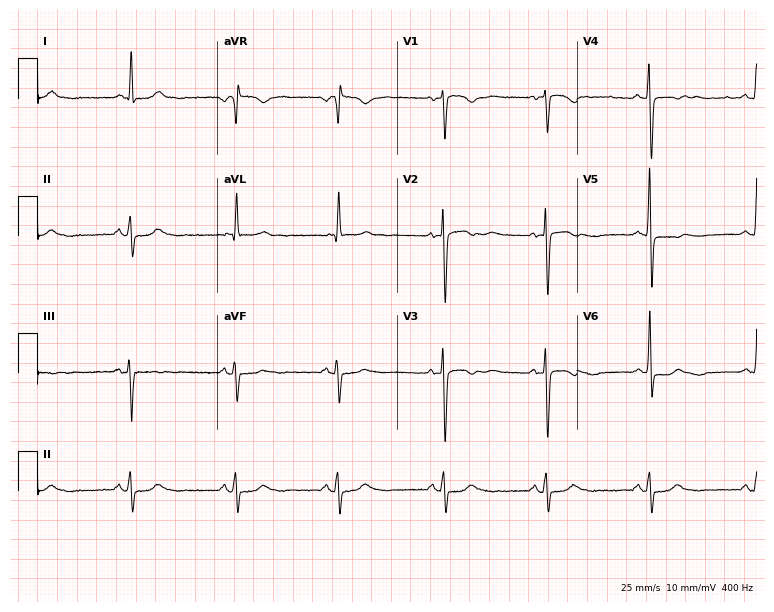
Electrocardiogram (7.3-second recording at 400 Hz), a 63-year-old female. Of the six screened findings (first-degree AV block, right bundle branch block, left bundle branch block, sinus bradycardia, atrial fibrillation, sinus tachycardia), none is recorded.